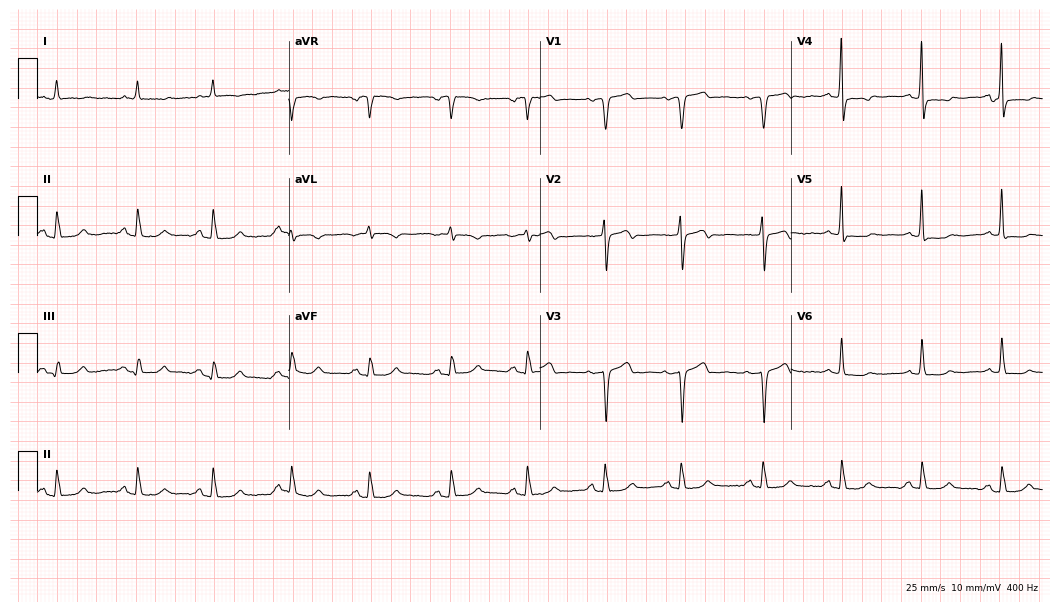
Resting 12-lead electrocardiogram (10.2-second recording at 400 Hz). Patient: an 83-year-old male. None of these six findings is recorded: first-degree AV block, right bundle branch block, left bundle branch block, sinus bradycardia, atrial fibrillation, sinus tachycardia. Findings outside these six are not listed.